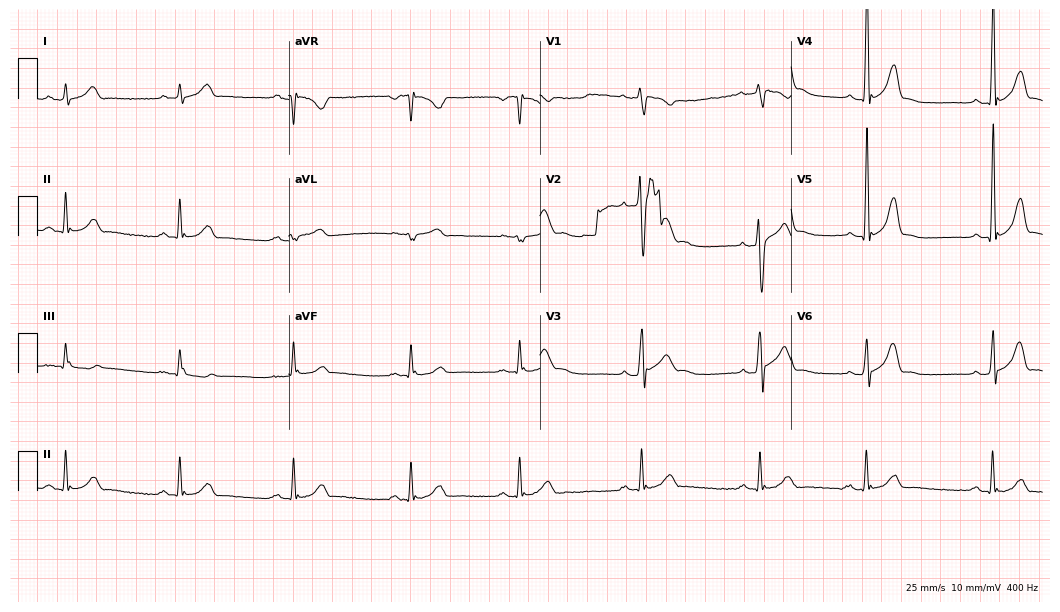
12-lead ECG from a male, 28 years old. Recorded interpretation: within normal limits.